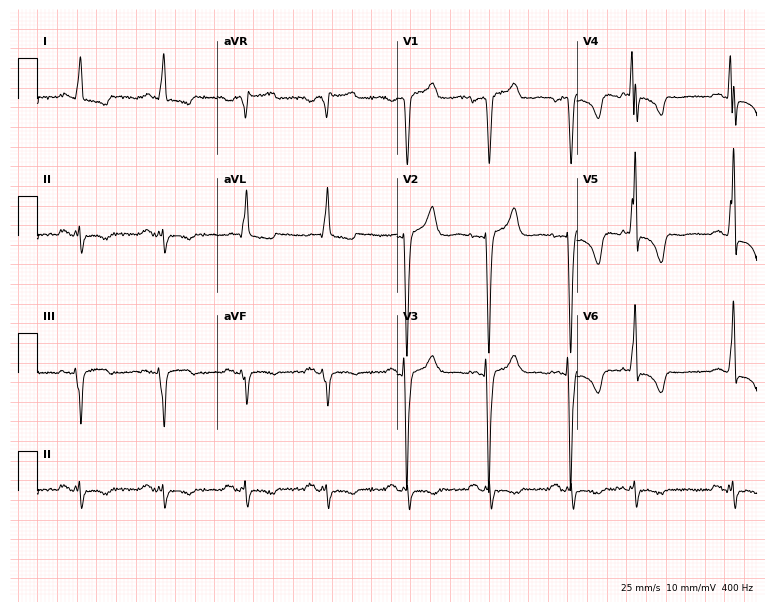
12-lead ECG from a male, 67 years old. No first-degree AV block, right bundle branch block, left bundle branch block, sinus bradycardia, atrial fibrillation or sinus tachycardia recorded for this tracing. Findings outside these six are not listed.